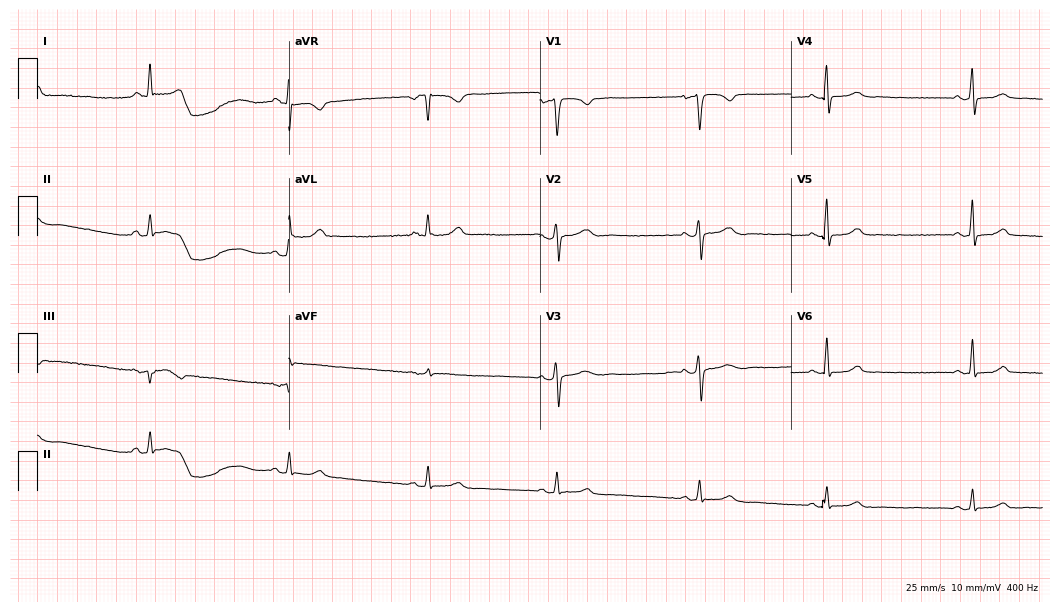
ECG — a 45-year-old female patient. Findings include sinus bradycardia (a sinus rate of 50 beats per minute or less).